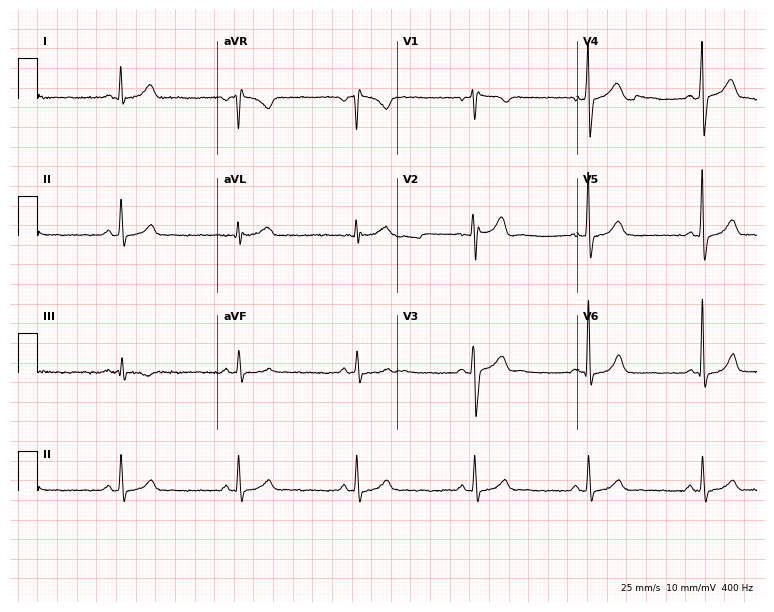
Resting 12-lead electrocardiogram. Patient: a male, 30 years old. Read as a normal ECG.